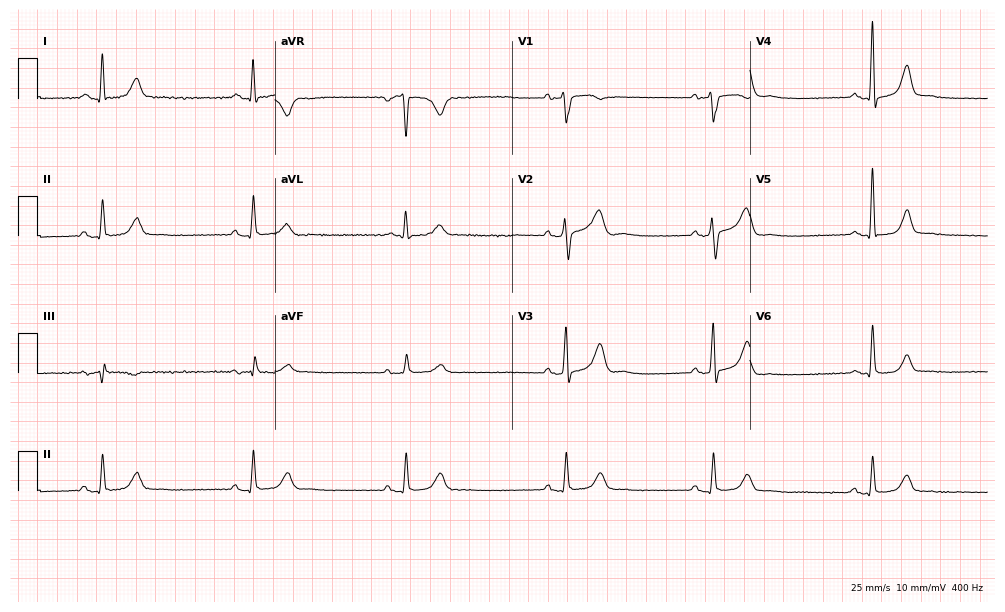
Standard 12-lead ECG recorded from a 62-year-old female patient (9.7-second recording at 400 Hz). The tracing shows sinus bradycardia (a sinus rate of 50 beats per minute or less).